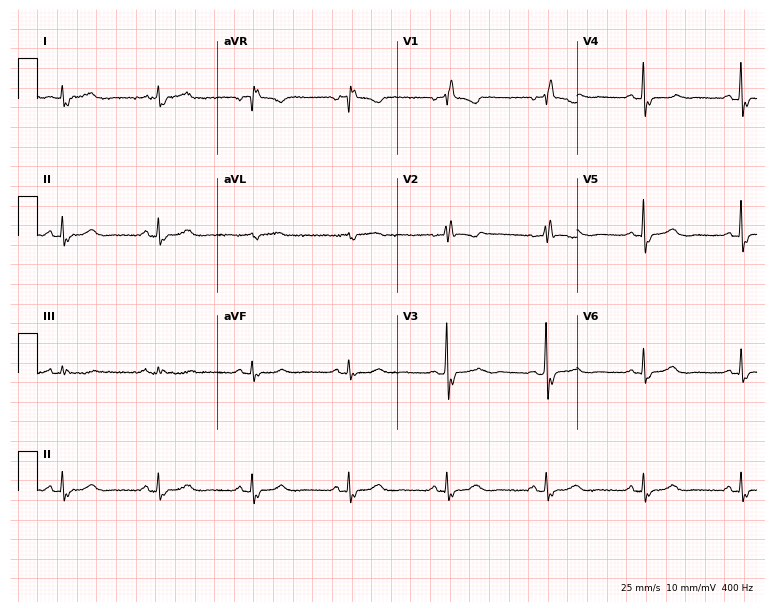
Electrocardiogram, a female patient, 83 years old. Of the six screened findings (first-degree AV block, right bundle branch block, left bundle branch block, sinus bradycardia, atrial fibrillation, sinus tachycardia), none is recorded. Findings outside these six are not listed.